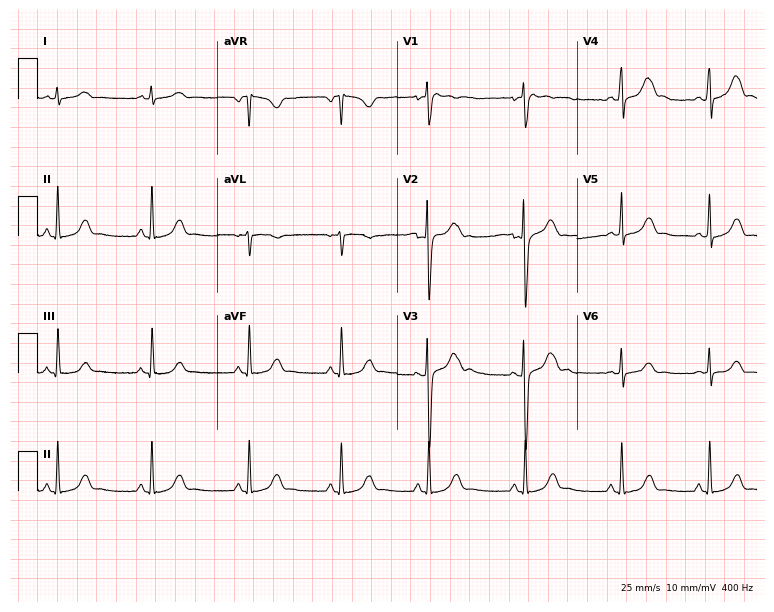
Electrocardiogram, a 21-year-old female. Overall reading on record: normal ECG.